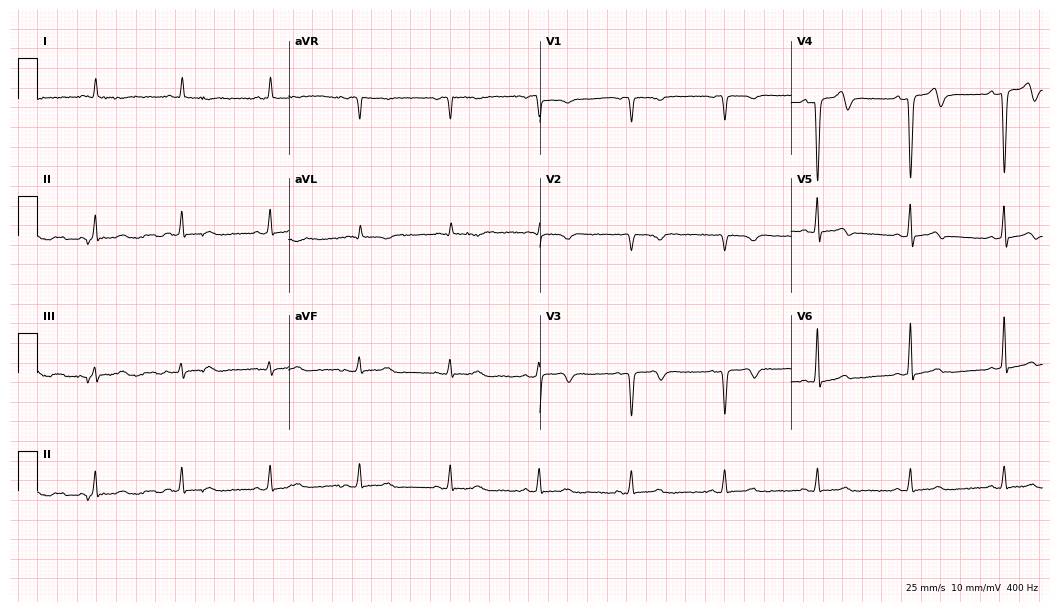
12-lead ECG (10.2-second recording at 400 Hz) from a female patient, 63 years old. Screened for six findings — first-degree AV block, right bundle branch block, left bundle branch block, sinus bradycardia, atrial fibrillation, sinus tachycardia — none is recorded. Findings outside these six are not listed.